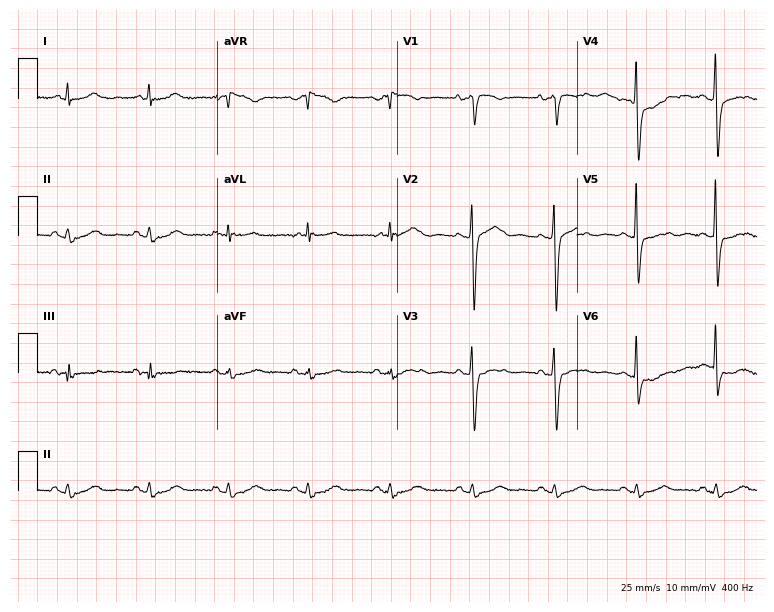
12-lead ECG from a 74-year-old woman. No first-degree AV block, right bundle branch block, left bundle branch block, sinus bradycardia, atrial fibrillation or sinus tachycardia recorded for this tracing. Findings outside these six are not listed.